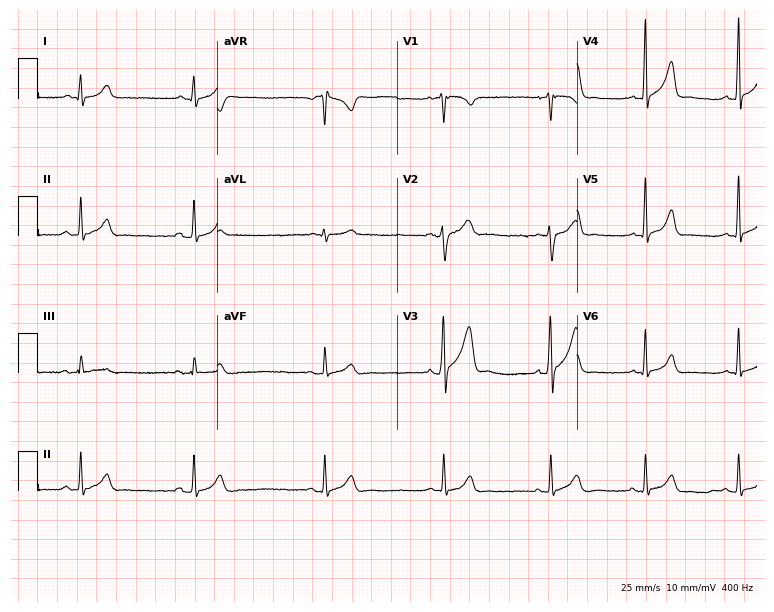
12-lead ECG (7.3-second recording at 400 Hz) from a 31-year-old male. Screened for six findings — first-degree AV block, right bundle branch block, left bundle branch block, sinus bradycardia, atrial fibrillation, sinus tachycardia — none is recorded. Other findings, if any, are not listed.